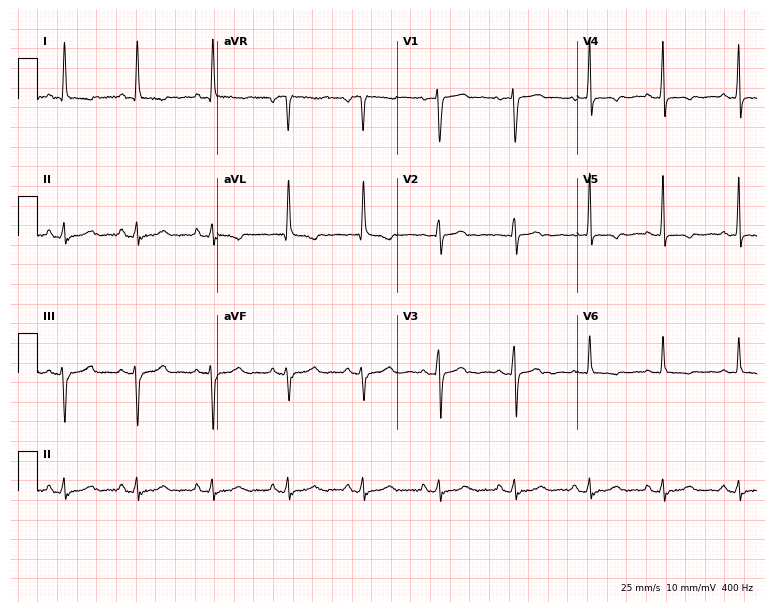
Standard 12-lead ECG recorded from a 66-year-old woman. None of these six findings is recorded: first-degree AV block, right bundle branch block (RBBB), left bundle branch block (LBBB), sinus bradycardia, atrial fibrillation (AF), sinus tachycardia. Other findings, if any, are not listed.